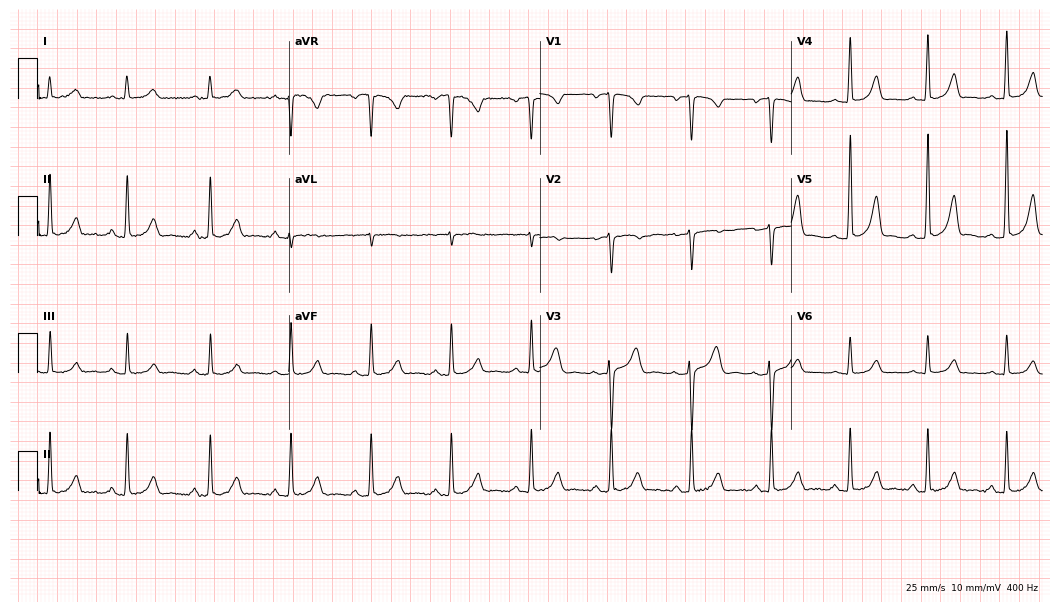
ECG (10.2-second recording at 400 Hz) — a 36-year-old woman. Labelled as a normal ECG.